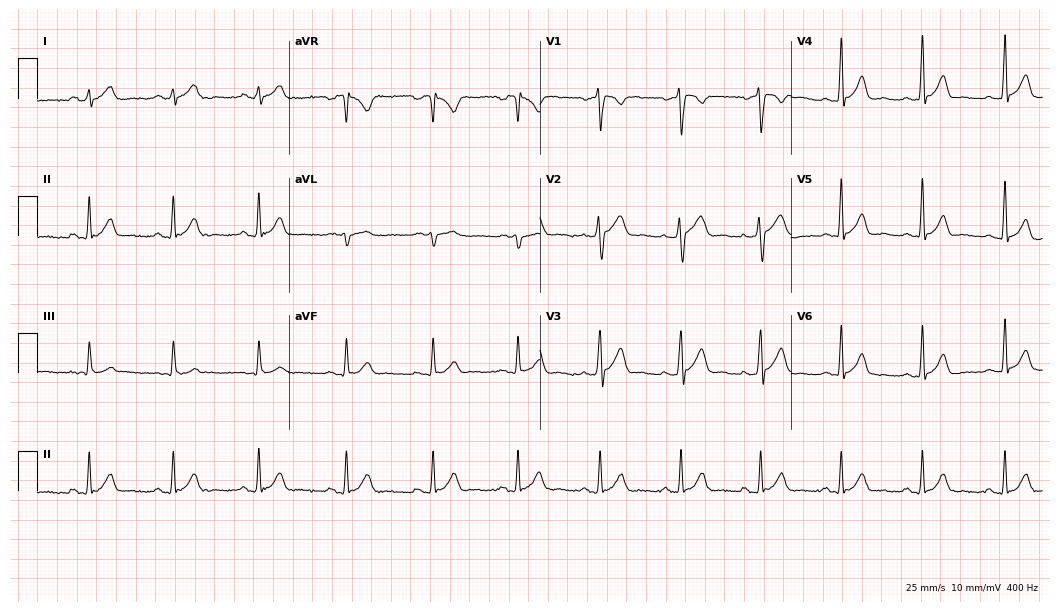
Resting 12-lead electrocardiogram. Patient: a 30-year-old man. Read as a normal ECG.